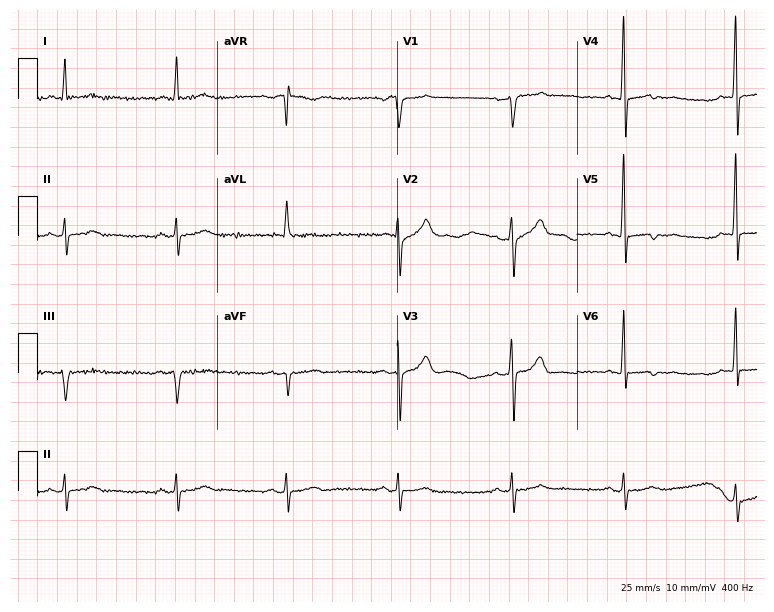
Electrocardiogram, a 67-year-old male patient. Of the six screened findings (first-degree AV block, right bundle branch block, left bundle branch block, sinus bradycardia, atrial fibrillation, sinus tachycardia), none is recorded. Other findings, if any, are not listed.